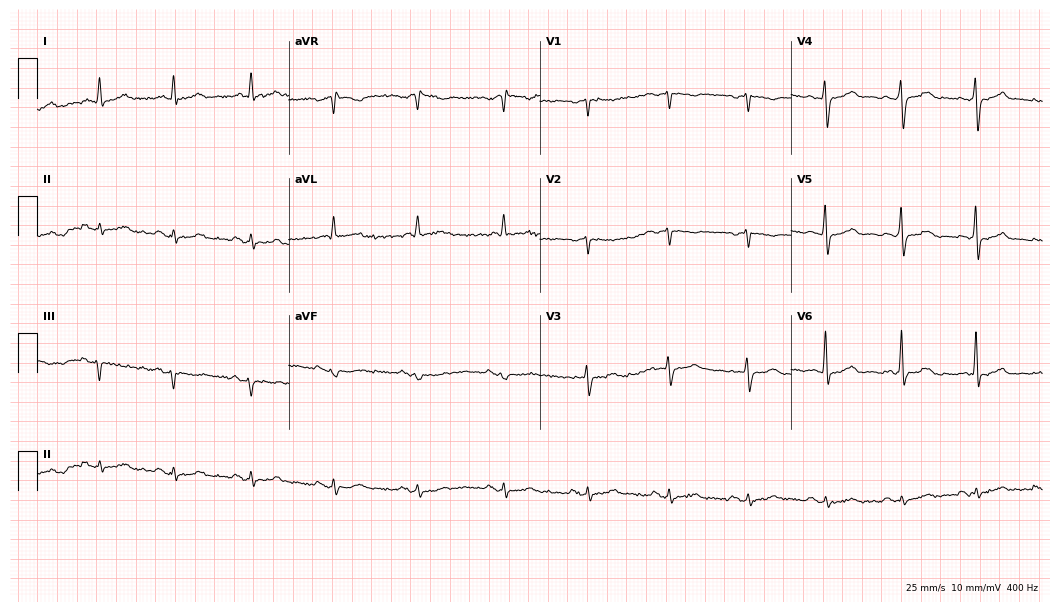
12-lead ECG from a male patient, 49 years old. Screened for six findings — first-degree AV block, right bundle branch block, left bundle branch block, sinus bradycardia, atrial fibrillation, sinus tachycardia — none is recorded.